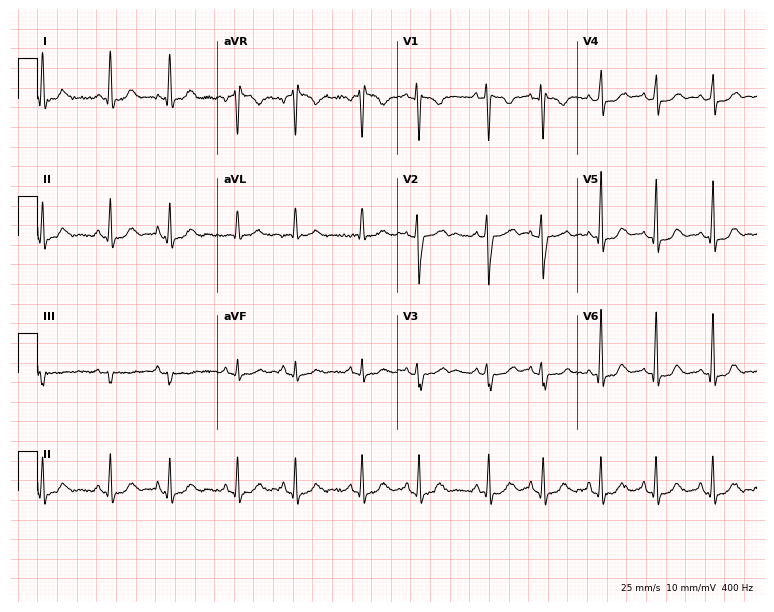
12-lead ECG (7.3-second recording at 400 Hz) from a 25-year-old woman. Labelled as a normal ECG.